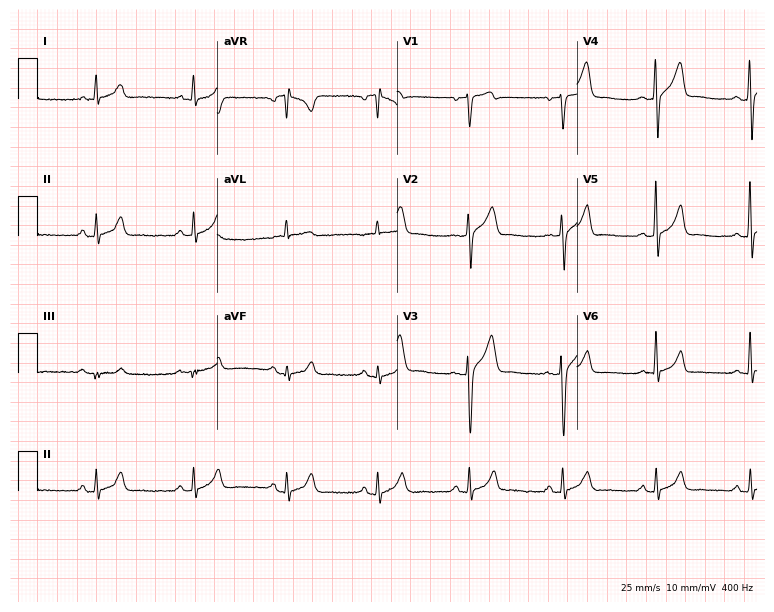
ECG (7.3-second recording at 400 Hz) — a 44-year-old male. Labelled as a normal ECG.